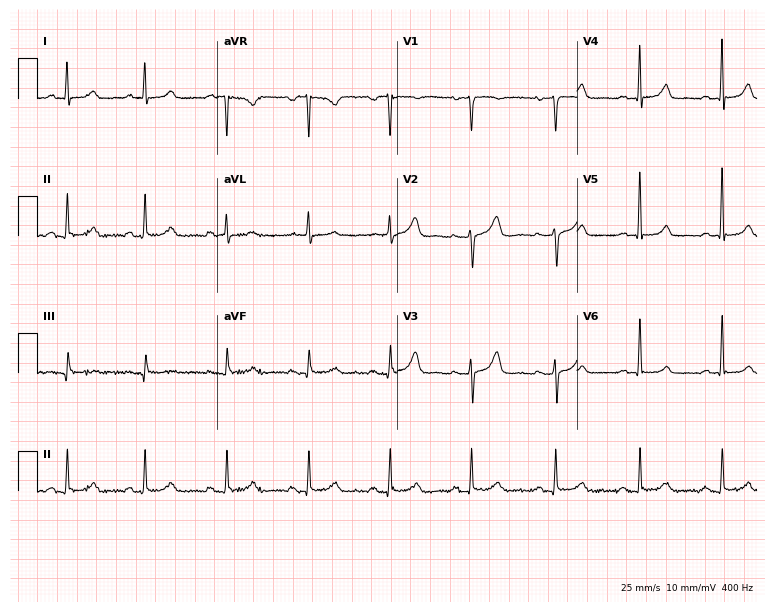
ECG — a 44-year-old woman. Labelled as a normal ECG.